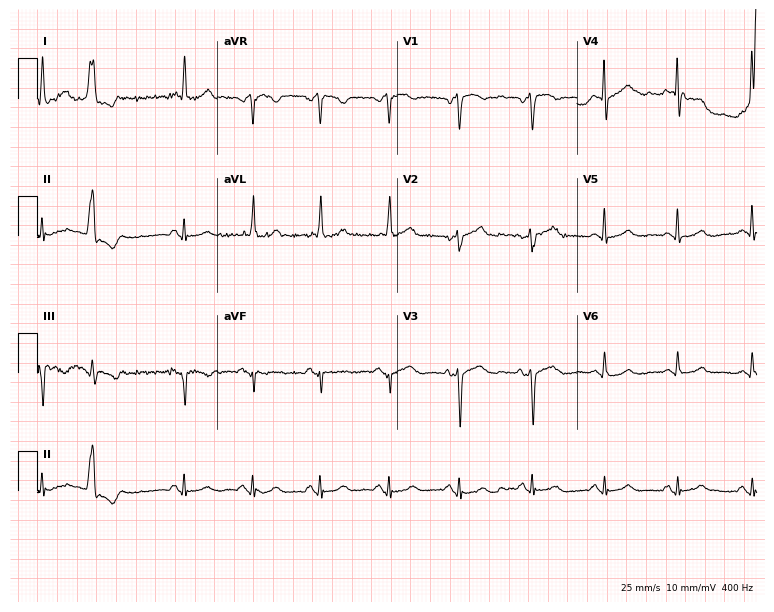
Standard 12-lead ECG recorded from a 76-year-old female. None of these six findings is recorded: first-degree AV block, right bundle branch block, left bundle branch block, sinus bradycardia, atrial fibrillation, sinus tachycardia. Findings outside these six are not listed.